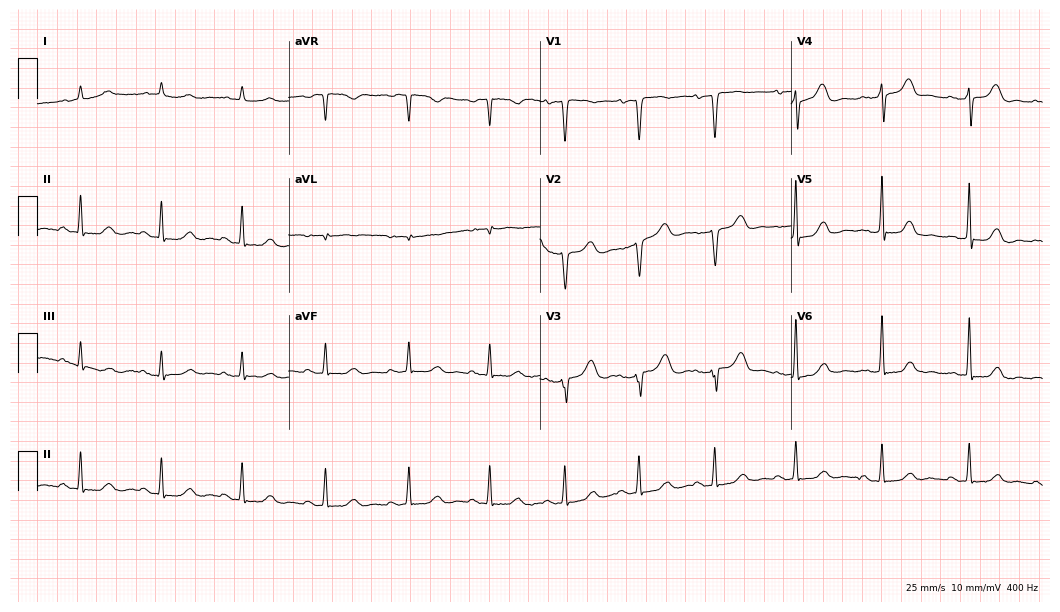
12-lead ECG from a male, 66 years old. No first-degree AV block, right bundle branch block (RBBB), left bundle branch block (LBBB), sinus bradycardia, atrial fibrillation (AF) or sinus tachycardia recorded for this tracing. Findings outside these six are not listed.